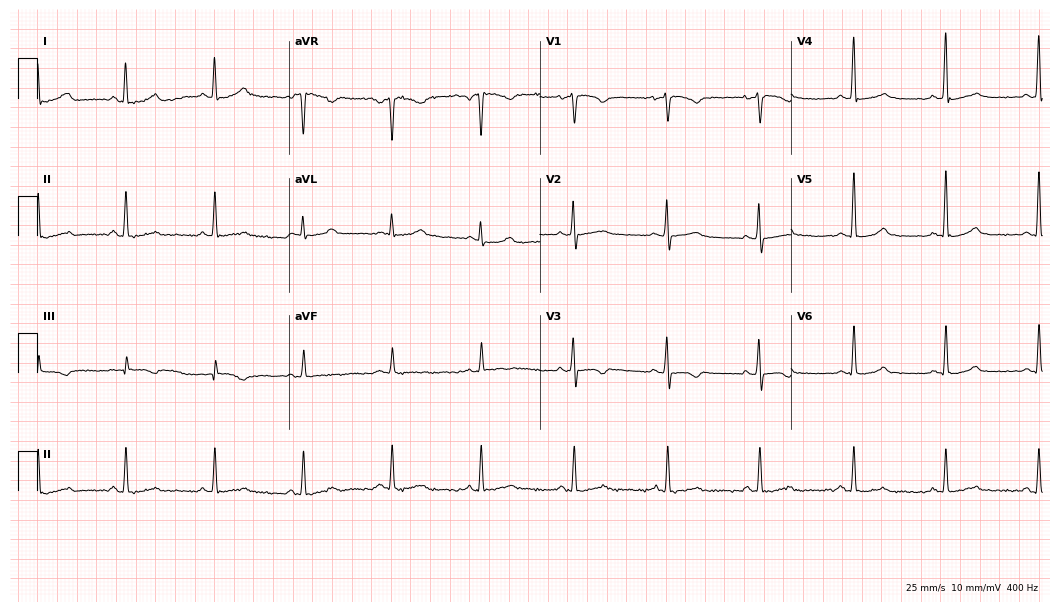
12-lead ECG from a 31-year-old female. Labelled as a normal ECG.